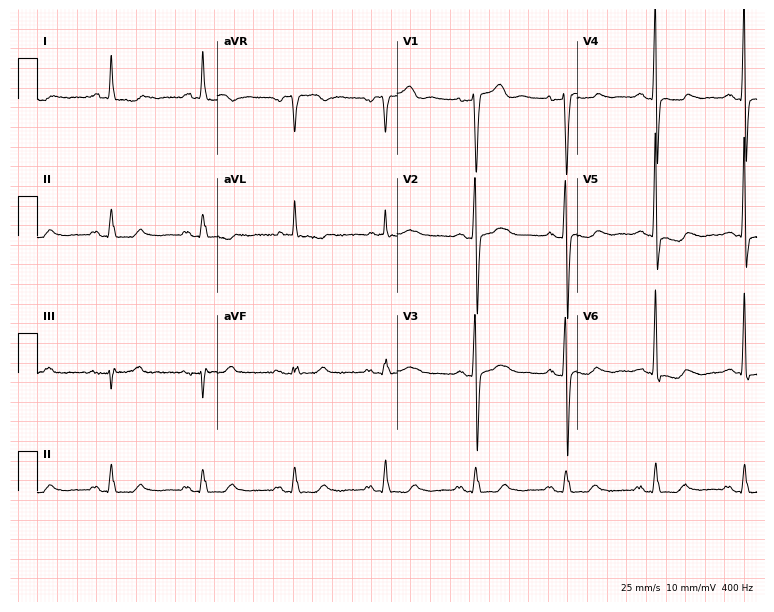
Resting 12-lead electrocardiogram (7.3-second recording at 400 Hz). Patient: a man, 76 years old. None of these six findings is recorded: first-degree AV block, right bundle branch block, left bundle branch block, sinus bradycardia, atrial fibrillation, sinus tachycardia.